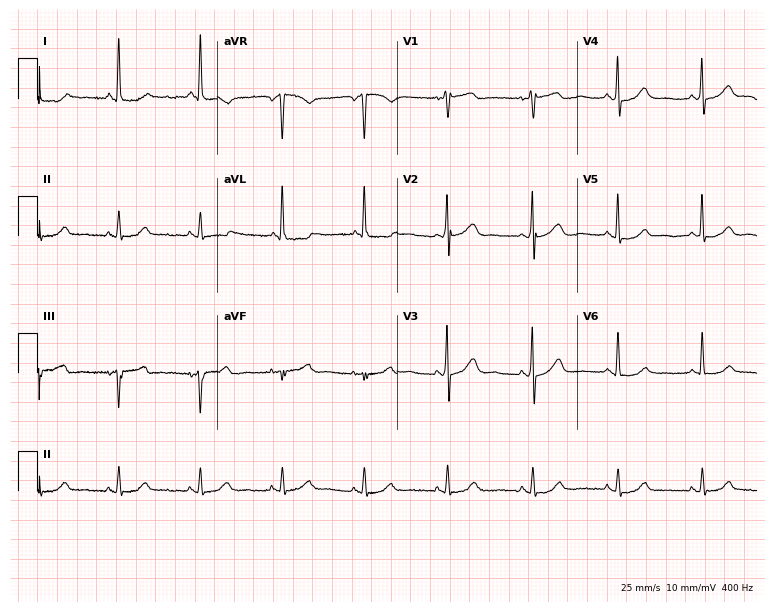
Standard 12-lead ECG recorded from a 69-year-old female. None of these six findings is recorded: first-degree AV block, right bundle branch block, left bundle branch block, sinus bradycardia, atrial fibrillation, sinus tachycardia.